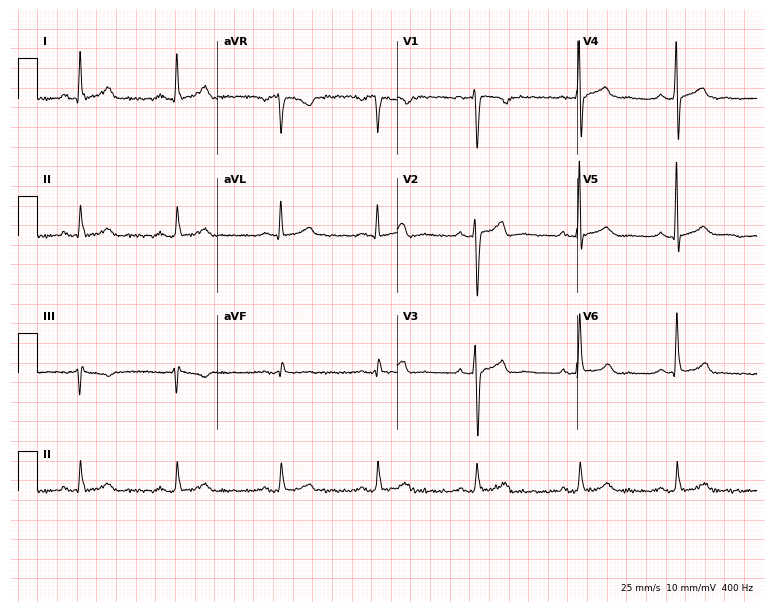
Electrocardiogram (7.3-second recording at 400 Hz), a male, 36 years old. Overall reading on record: normal ECG.